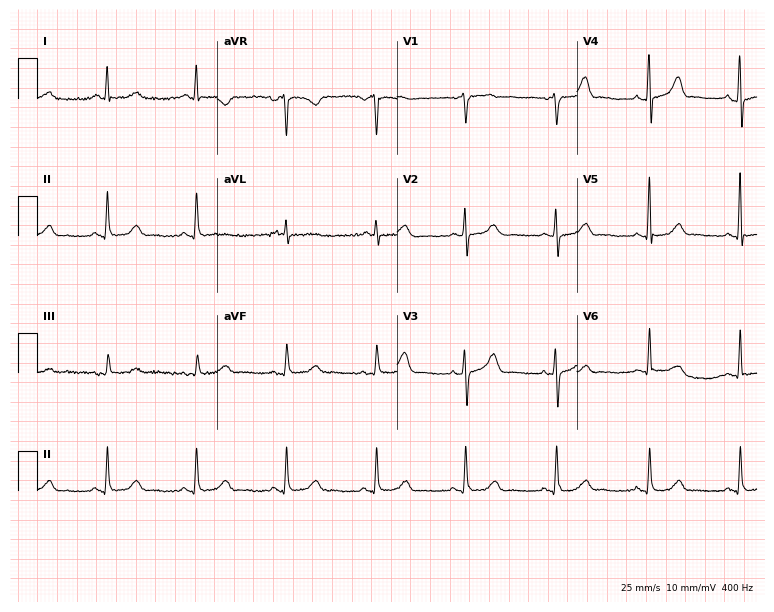
Electrocardiogram, a female patient, 60 years old. Overall reading on record: normal ECG.